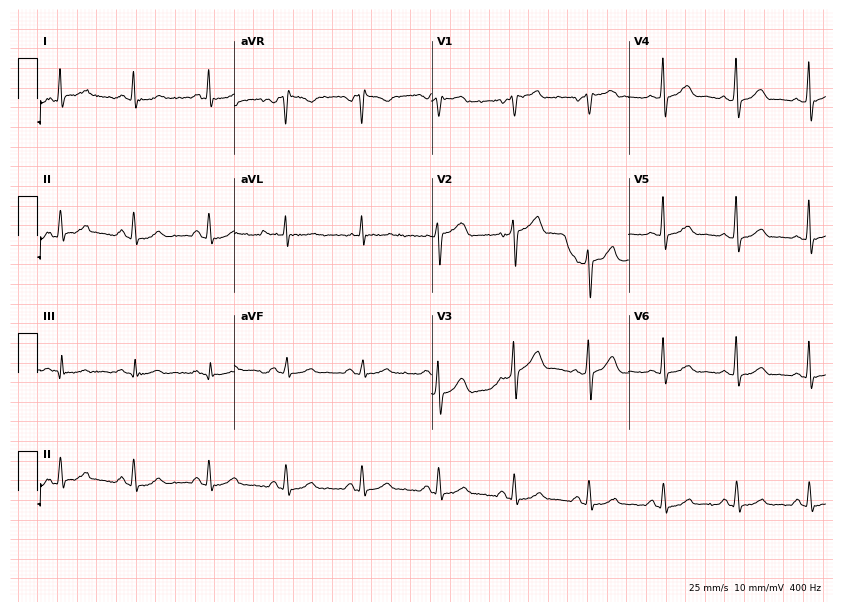
12-lead ECG (8-second recording at 400 Hz) from a male, 41 years old. Labelled as a normal ECG.